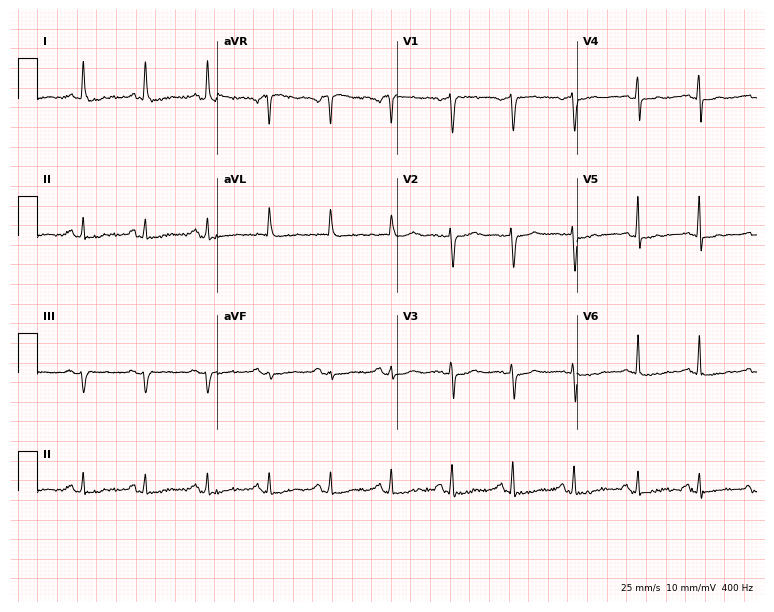
Resting 12-lead electrocardiogram. Patient: a 70-year-old woman. None of these six findings is recorded: first-degree AV block, right bundle branch block, left bundle branch block, sinus bradycardia, atrial fibrillation, sinus tachycardia.